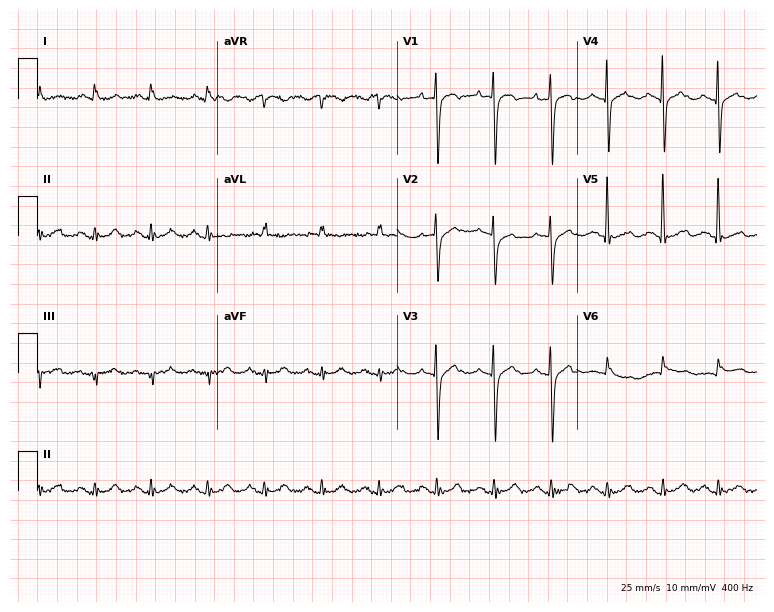
ECG — a female patient, 80 years old. Findings include sinus tachycardia (a sinus rate of 100 beats per minute or more).